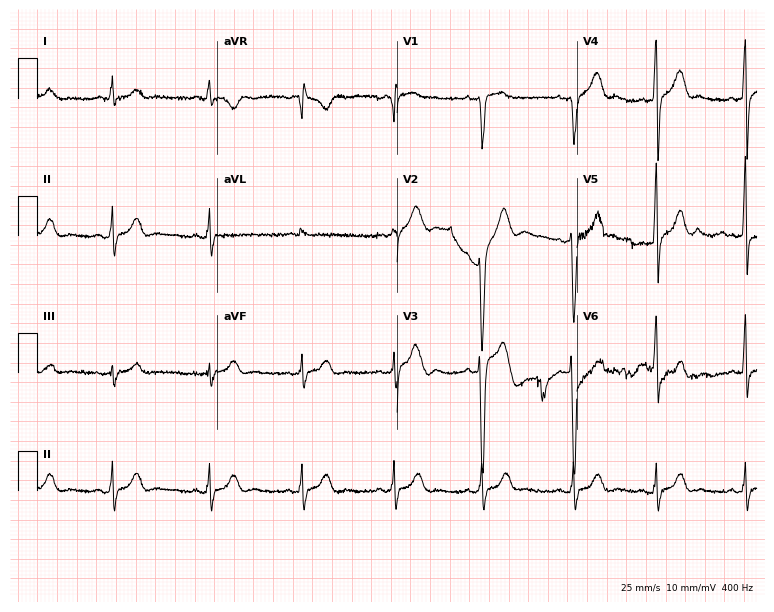
12-lead ECG from a 24-year-old male patient (7.3-second recording at 400 Hz). Recorded interpretation: within normal limits.